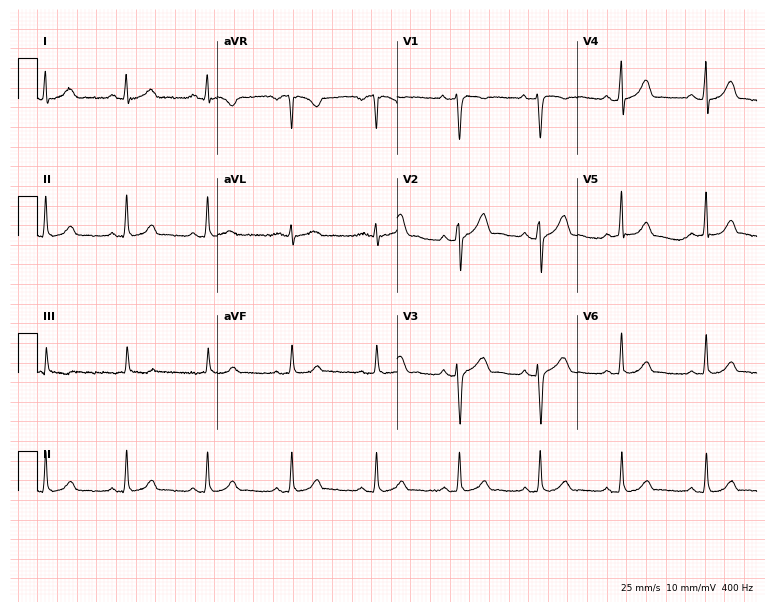
Standard 12-lead ECG recorded from a 37-year-old female (7.3-second recording at 400 Hz). Read as a normal ECG.